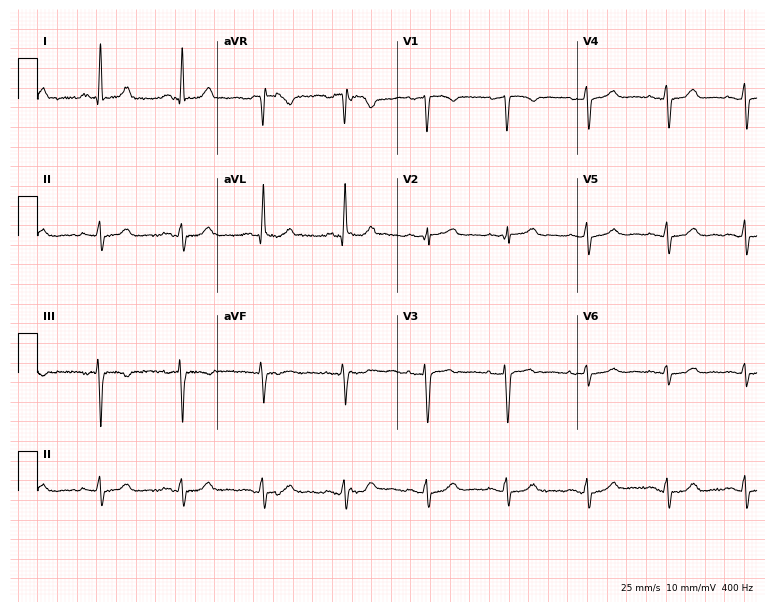
12-lead ECG from a female patient, 70 years old. Screened for six findings — first-degree AV block, right bundle branch block, left bundle branch block, sinus bradycardia, atrial fibrillation, sinus tachycardia — none is recorded.